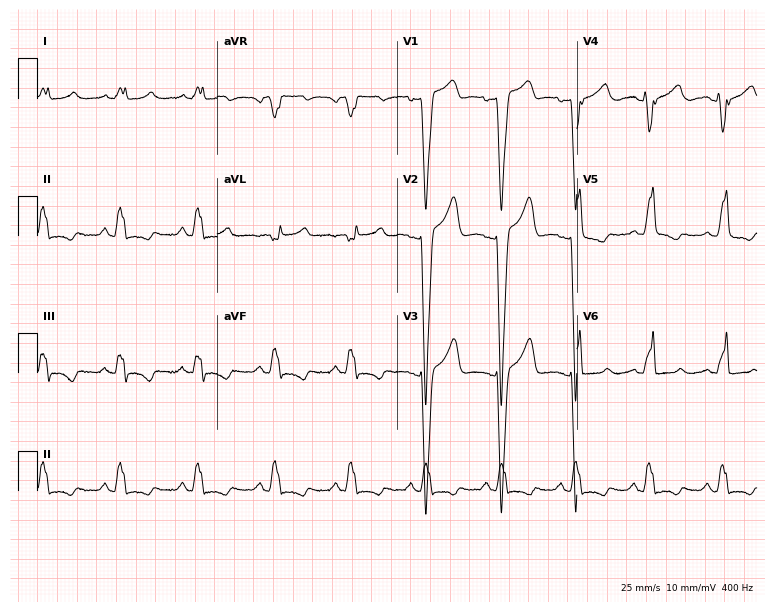
ECG (7.3-second recording at 400 Hz) — a 52-year-old female patient. Findings include left bundle branch block.